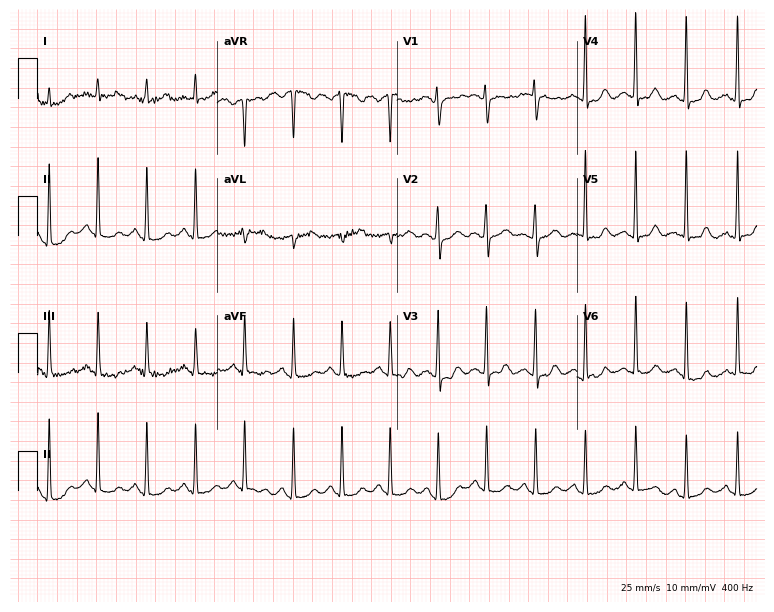
Electrocardiogram, a 26-year-old female patient. Interpretation includes sinus tachycardia (a sinus rate of 100 beats per minute or more).